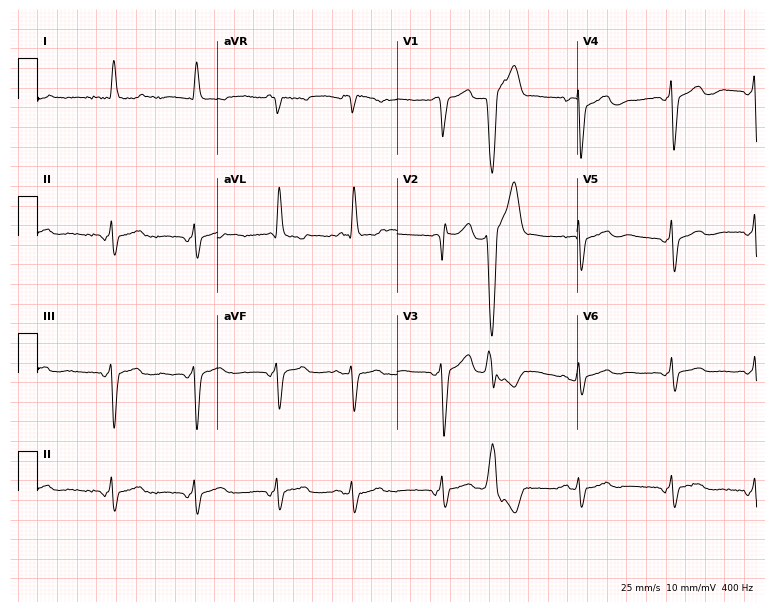
Resting 12-lead electrocardiogram (7.3-second recording at 400 Hz). Patient: a male, 68 years old. The tracing shows left bundle branch block (LBBB).